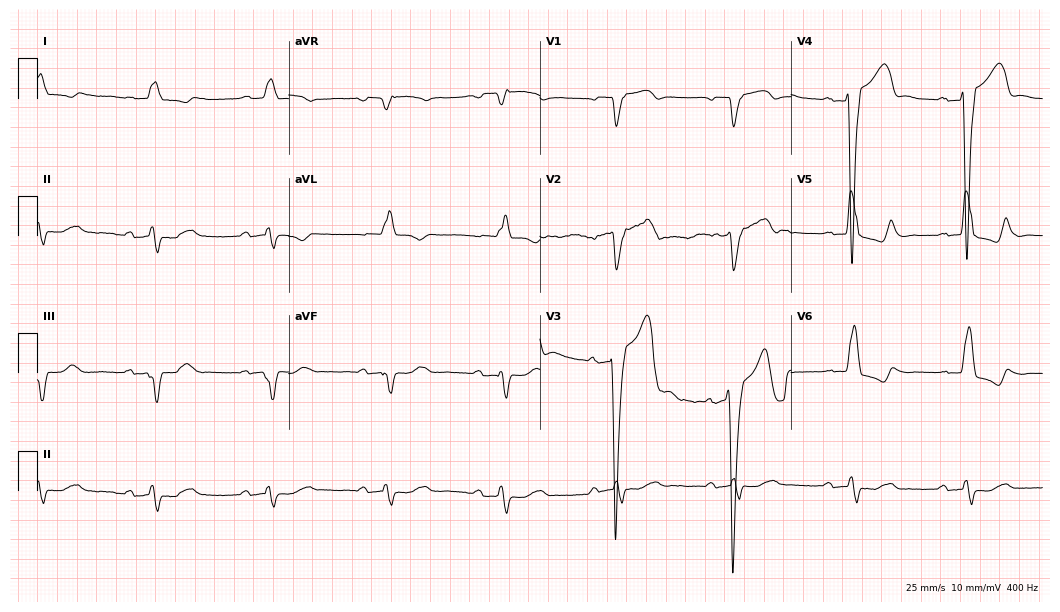
12-lead ECG (10.2-second recording at 400 Hz) from an 82-year-old male. Findings include left bundle branch block.